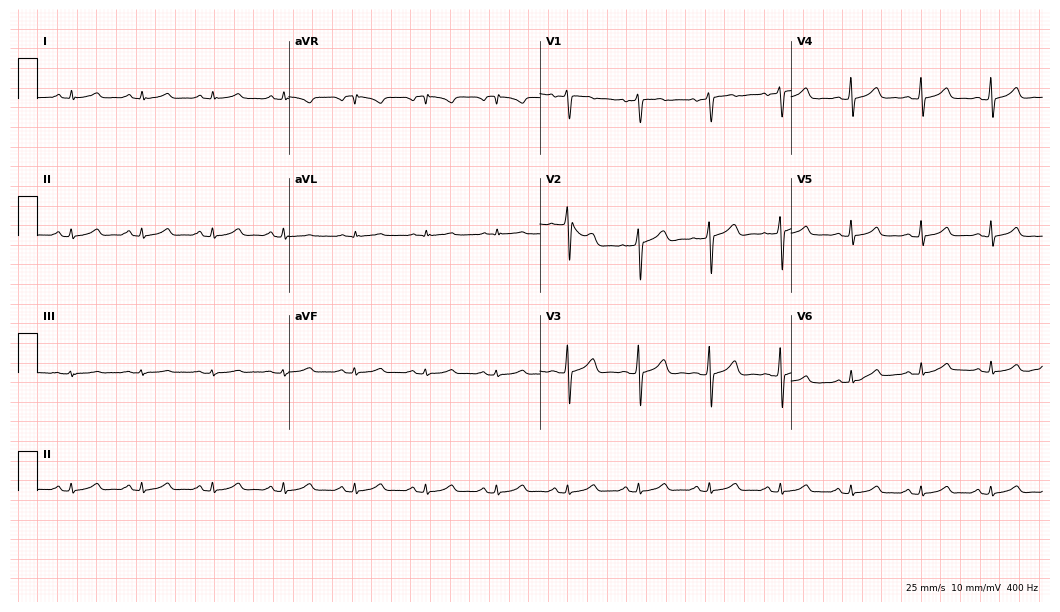
12-lead ECG from a 33-year-old man. Screened for six findings — first-degree AV block, right bundle branch block, left bundle branch block, sinus bradycardia, atrial fibrillation, sinus tachycardia — none is recorded. Only these six findings were labelled.